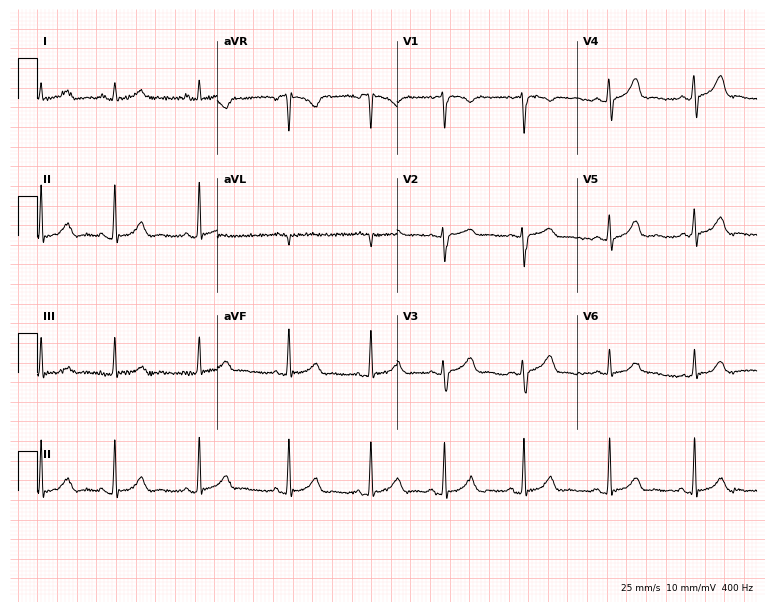
Electrocardiogram (7.3-second recording at 400 Hz), a female, 29 years old. Overall reading on record: normal ECG.